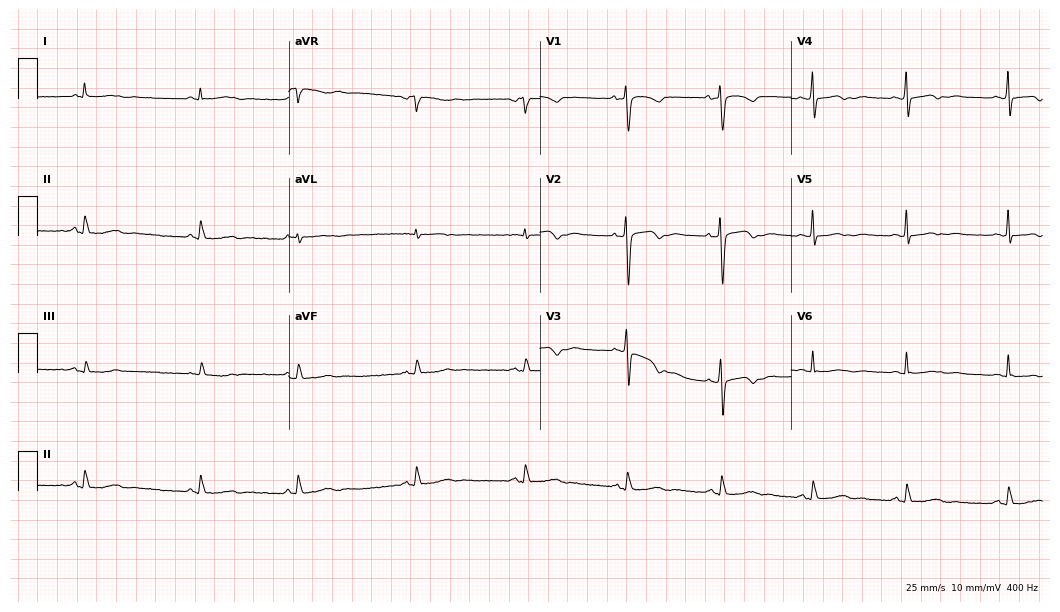
12-lead ECG from a 53-year-old female patient. Labelled as a normal ECG.